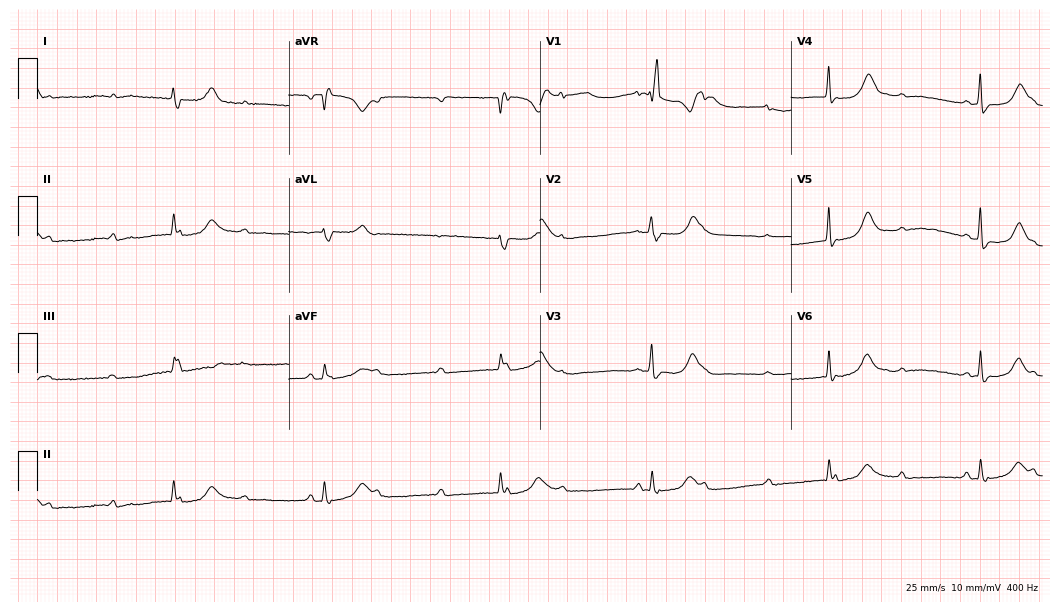
Resting 12-lead electrocardiogram (10.2-second recording at 400 Hz). Patient: a male, 84 years old. None of these six findings is recorded: first-degree AV block, right bundle branch block, left bundle branch block, sinus bradycardia, atrial fibrillation, sinus tachycardia.